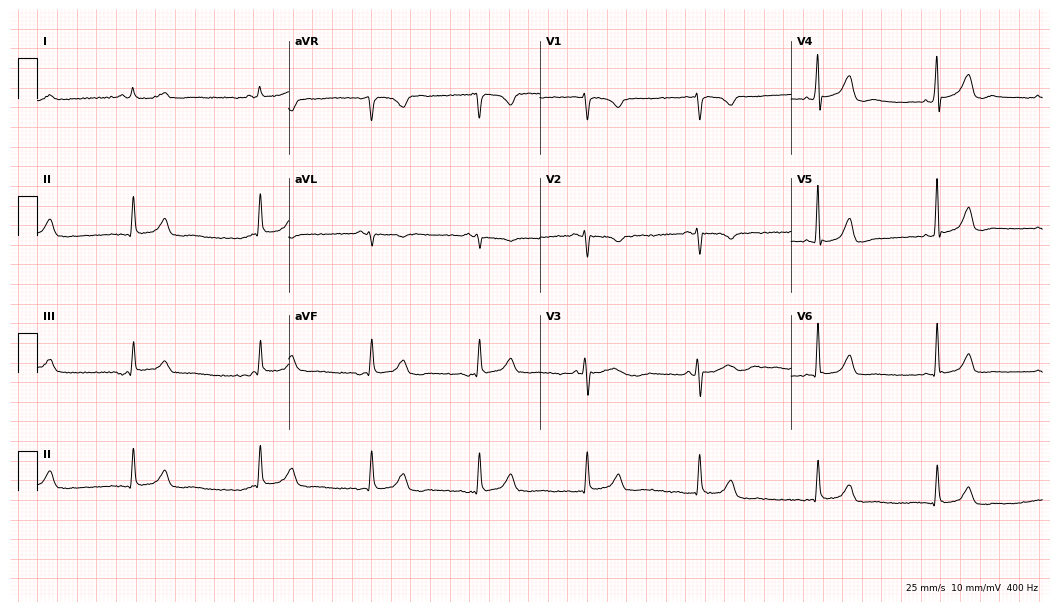
12-lead ECG from a 54-year-old female (10.2-second recording at 400 Hz). Recorded interpretation: within normal limits.